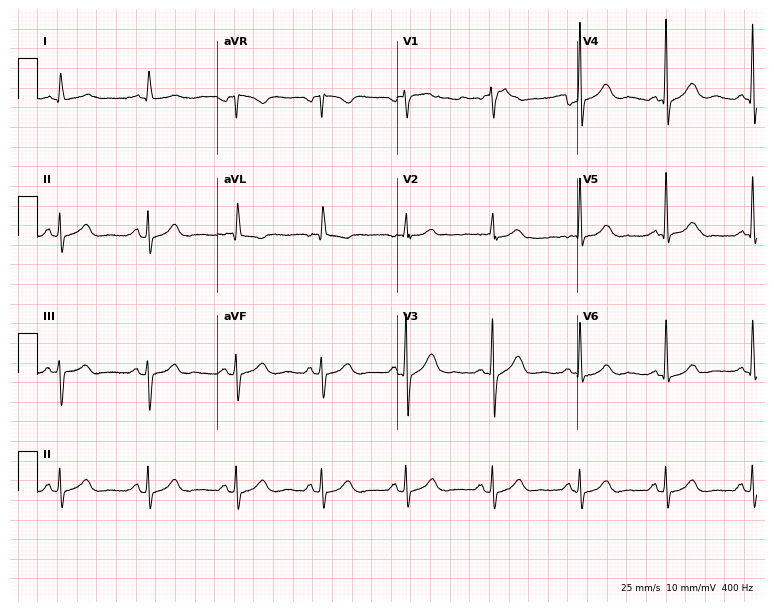
ECG (7.3-second recording at 400 Hz) — a male, 77 years old. Screened for six findings — first-degree AV block, right bundle branch block, left bundle branch block, sinus bradycardia, atrial fibrillation, sinus tachycardia — none is recorded.